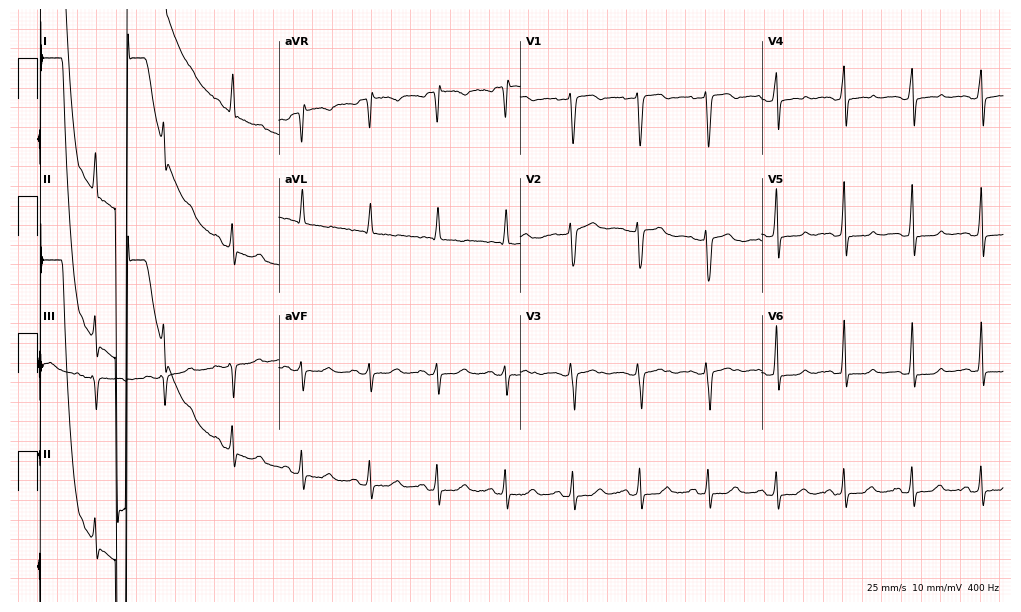
Resting 12-lead electrocardiogram (9.8-second recording at 400 Hz). Patient: a 46-year-old woman. None of these six findings is recorded: first-degree AV block, right bundle branch block, left bundle branch block, sinus bradycardia, atrial fibrillation, sinus tachycardia.